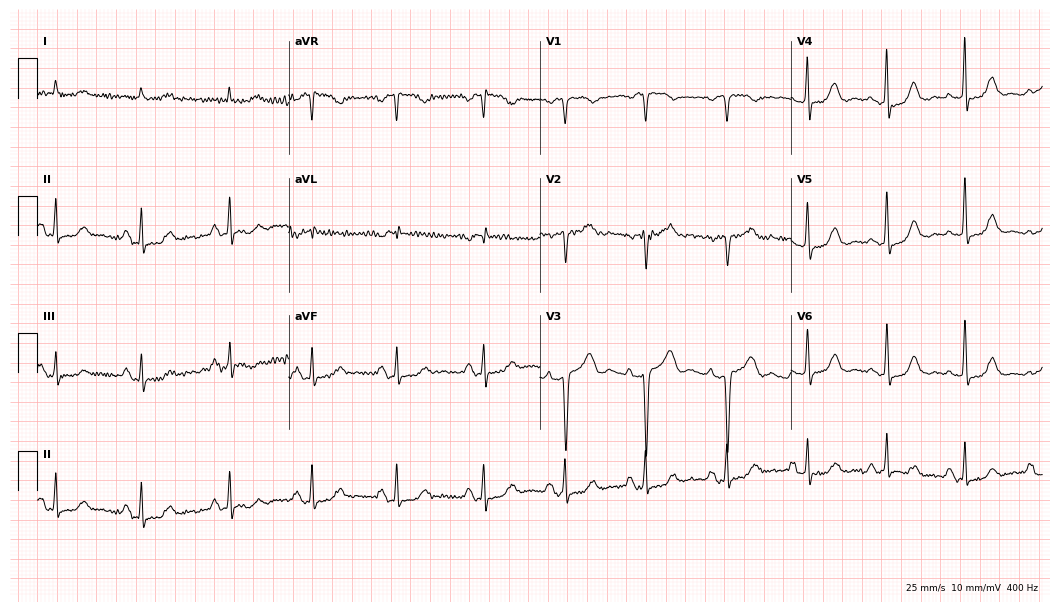
12-lead ECG (10.2-second recording at 400 Hz) from a female, 77 years old. Screened for six findings — first-degree AV block, right bundle branch block, left bundle branch block, sinus bradycardia, atrial fibrillation, sinus tachycardia — none is recorded. Only these six findings were labelled.